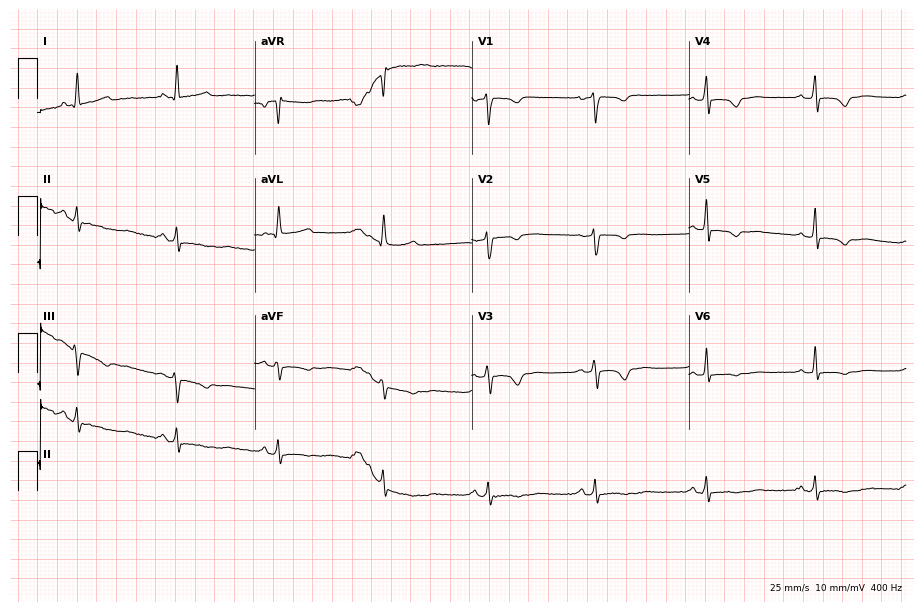
Resting 12-lead electrocardiogram (8.9-second recording at 400 Hz). Patient: a 39-year-old woman. None of these six findings is recorded: first-degree AV block, right bundle branch block, left bundle branch block, sinus bradycardia, atrial fibrillation, sinus tachycardia. Other findings, if any, are not listed.